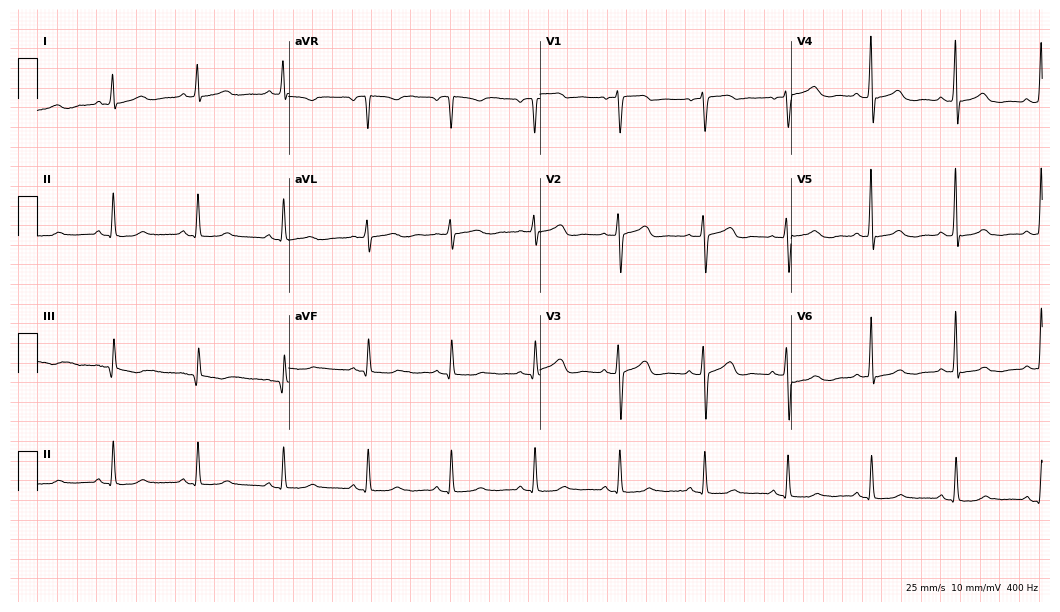
Resting 12-lead electrocardiogram (10.2-second recording at 400 Hz). Patient: a 52-year-old woman. None of these six findings is recorded: first-degree AV block, right bundle branch block, left bundle branch block, sinus bradycardia, atrial fibrillation, sinus tachycardia. Only these six findings were labelled.